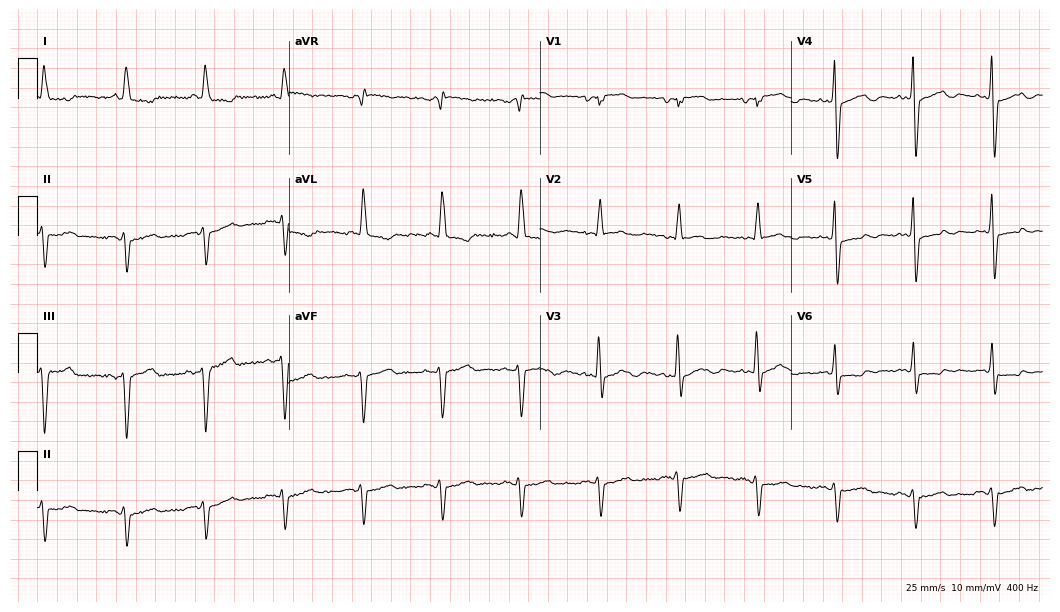
ECG — a man, 74 years old. Screened for six findings — first-degree AV block, right bundle branch block, left bundle branch block, sinus bradycardia, atrial fibrillation, sinus tachycardia — none is recorded. Findings outside these six are not listed.